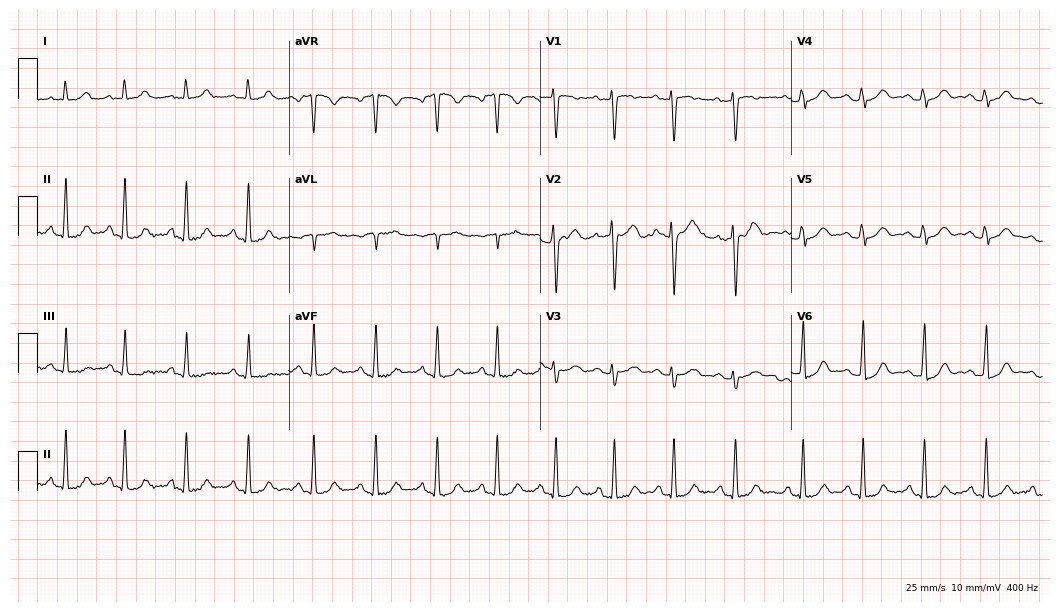
12-lead ECG from a woman, 21 years old. No first-degree AV block, right bundle branch block, left bundle branch block, sinus bradycardia, atrial fibrillation or sinus tachycardia recorded for this tracing. Only these six findings were labelled.